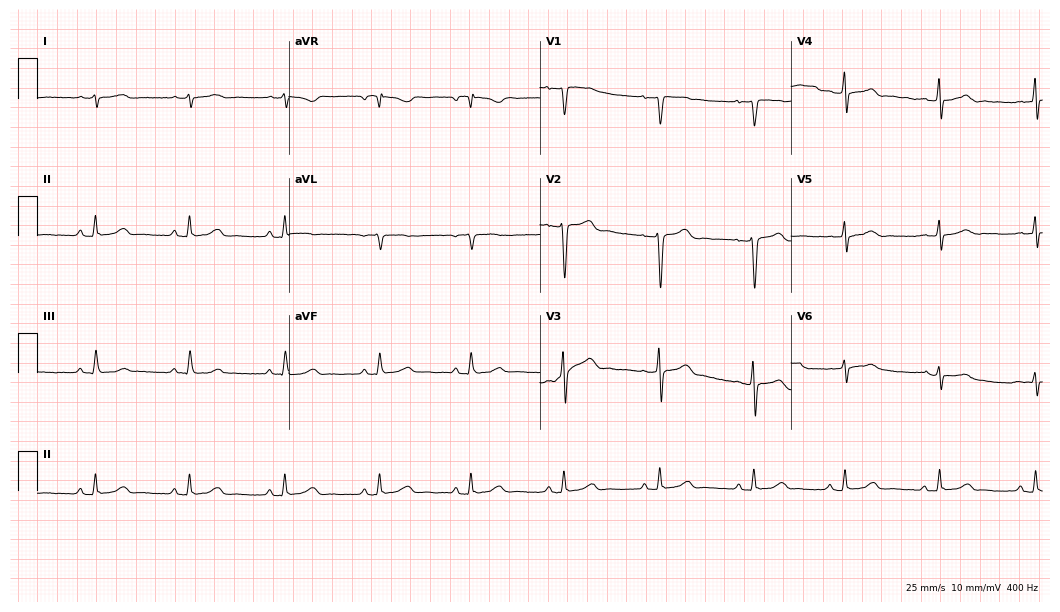
Standard 12-lead ECG recorded from a woman, 41 years old. None of these six findings is recorded: first-degree AV block, right bundle branch block, left bundle branch block, sinus bradycardia, atrial fibrillation, sinus tachycardia. Only these six findings were labelled.